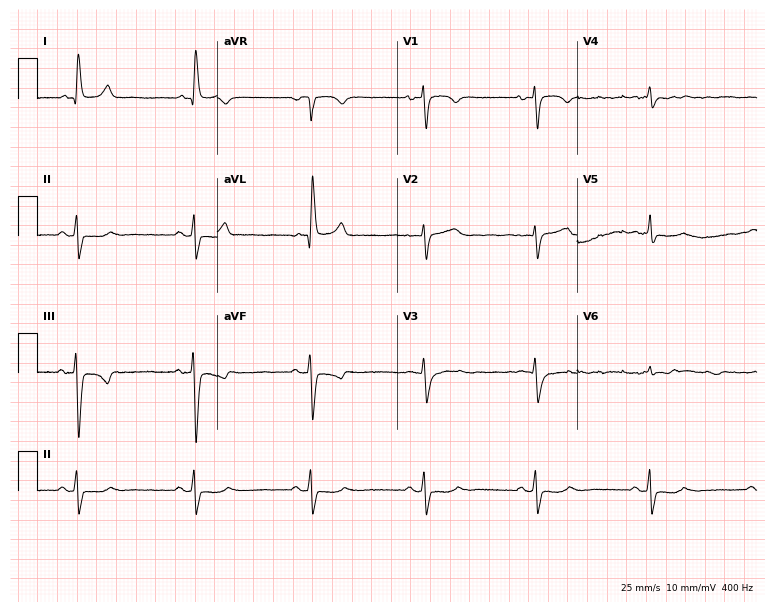
Resting 12-lead electrocardiogram (7.3-second recording at 400 Hz). Patient: an 84-year-old female. None of these six findings is recorded: first-degree AV block, right bundle branch block, left bundle branch block, sinus bradycardia, atrial fibrillation, sinus tachycardia.